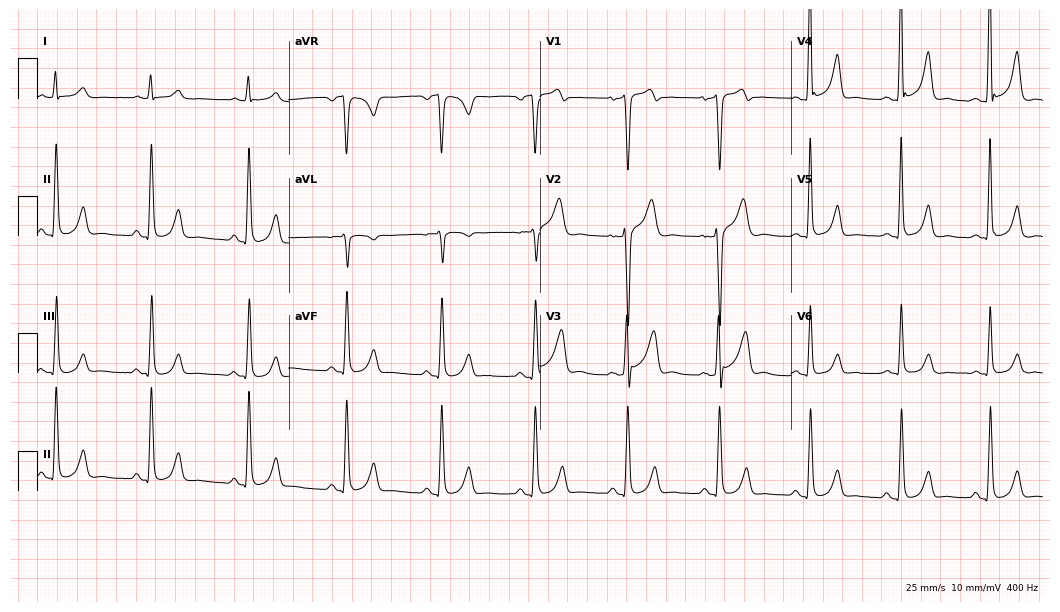
ECG — a 49-year-old male patient. Screened for six findings — first-degree AV block, right bundle branch block, left bundle branch block, sinus bradycardia, atrial fibrillation, sinus tachycardia — none is recorded. Findings outside these six are not listed.